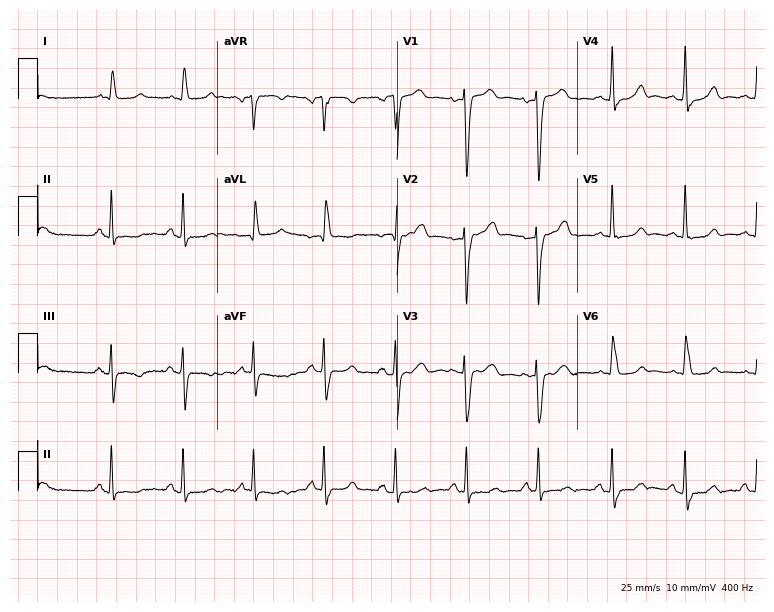
ECG (7.3-second recording at 400 Hz) — a 76-year-old woman. Screened for six findings — first-degree AV block, right bundle branch block, left bundle branch block, sinus bradycardia, atrial fibrillation, sinus tachycardia — none is recorded. Findings outside these six are not listed.